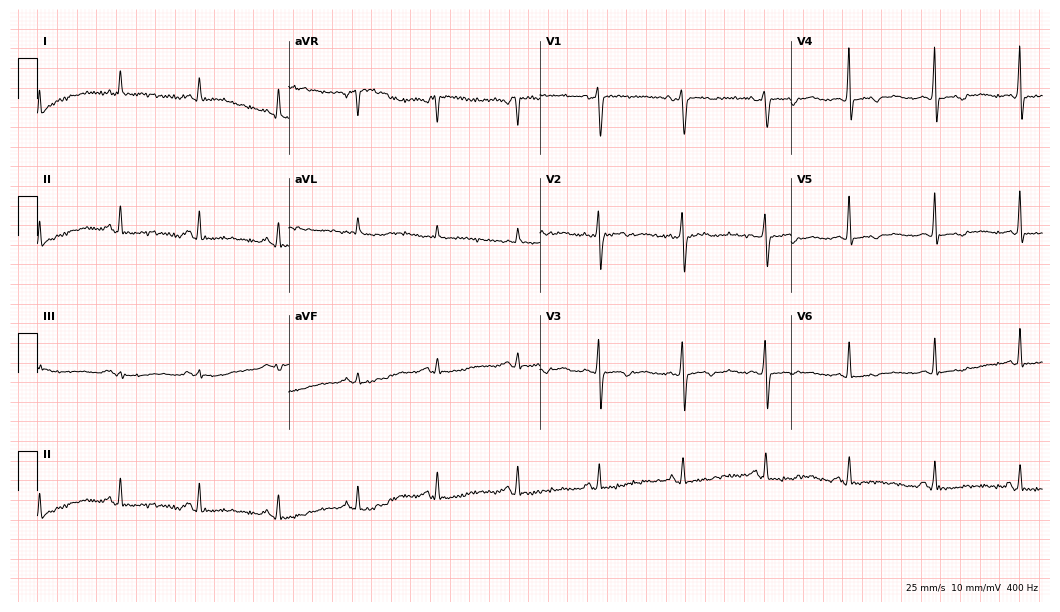
12-lead ECG (10.2-second recording at 400 Hz) from a female, 61 years old. Screened for six findings — first-degree AV block, right bundle branch block (RBBB), left bundle branch block (LBBB), sinus bradycardia, atrial fibrillation (AF), sinus tachycardia — none is recorded. Findings outside these six are not listed.